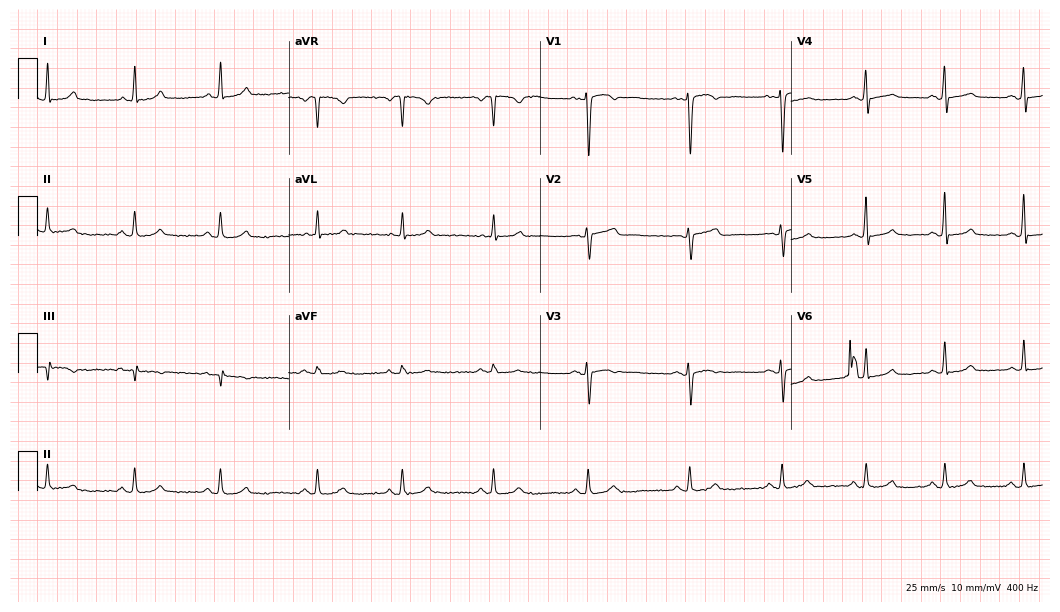
Electrocardiogram, a woman, 48 years old. Overall reading on record: normal ECG.